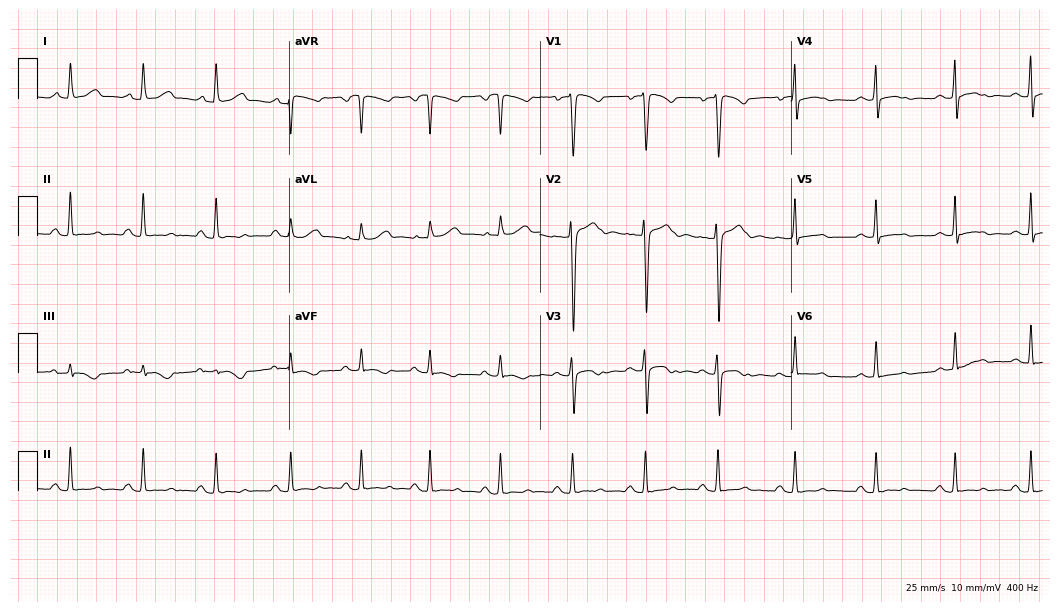
Electrocardiogram (10.2-second recording at 400 Hz), a female patient, 33 years old. Of the six screened findings (first-degree AV block, right bundle branch block (RBBB), left bundle branch block (LBBB), sinus bradycardia, atrial fibrillation (AF), sinus tachycardia), none is recorded. Only these six findings were labelled.